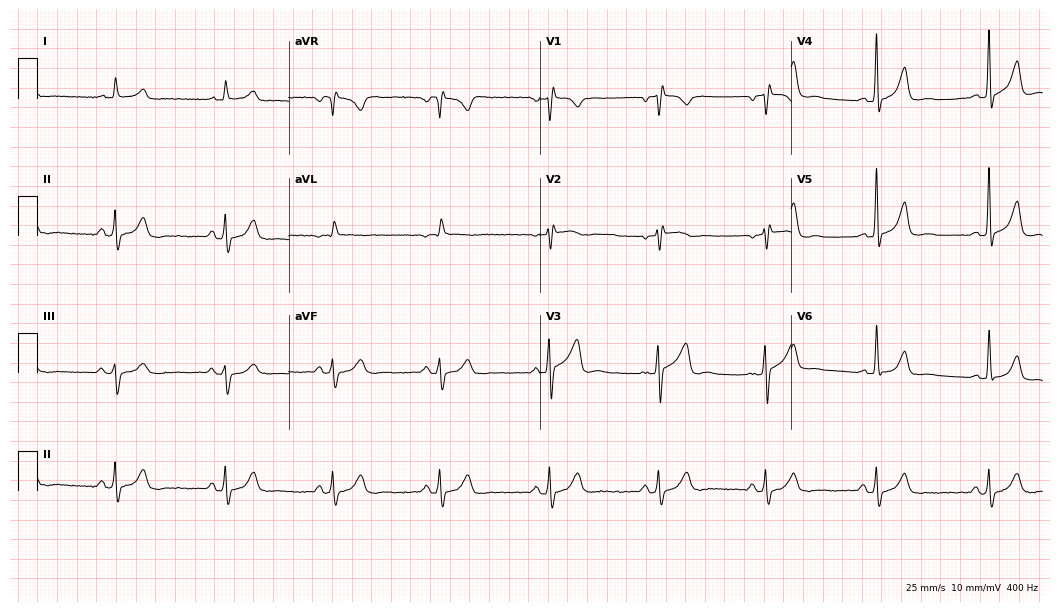
Standard 12-lead ECG recorded from a 66-year-old man (10.2-second recording at 400 Hz). Read as a normal ECG.